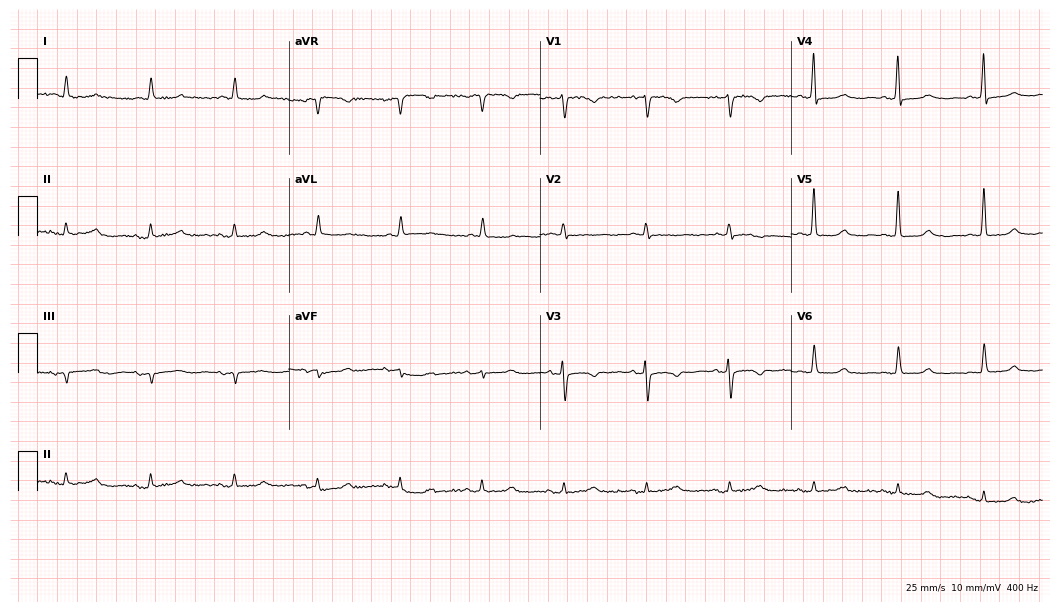
Electrocardiogram (10.2-second recording at 400 Hz), a 68-year-old female patient. Of the six screened findings (first-degree AV block, right bundle branch block (RBBB), left bundle branch block (LBBB), sinus bradycardia, atrial fibrillation (AF), sinus tachycardia), none is recorded.